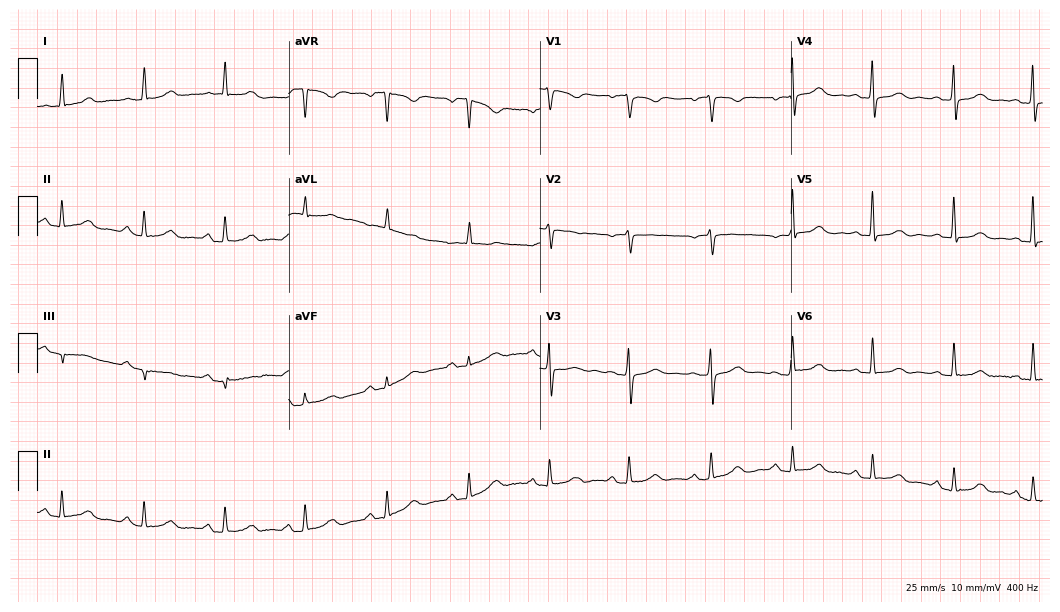
Standard 12-lead ECG recorded from a female patient, 81 years old. None of these six findings is recorded: first-degree AV block, right bundle branch block, left bundle branch block, sinus bradycardia, atrial fibrillation, sinus tachycardia. Other findings, if any, are not listed.